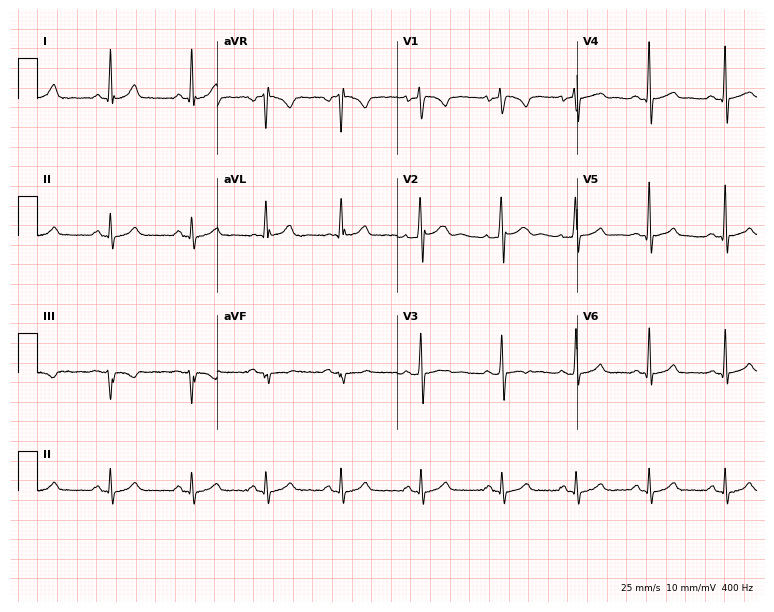
Resting 12-lead electrocardiogram. Patient: a 29-year-old male. Read as a normal ECG.